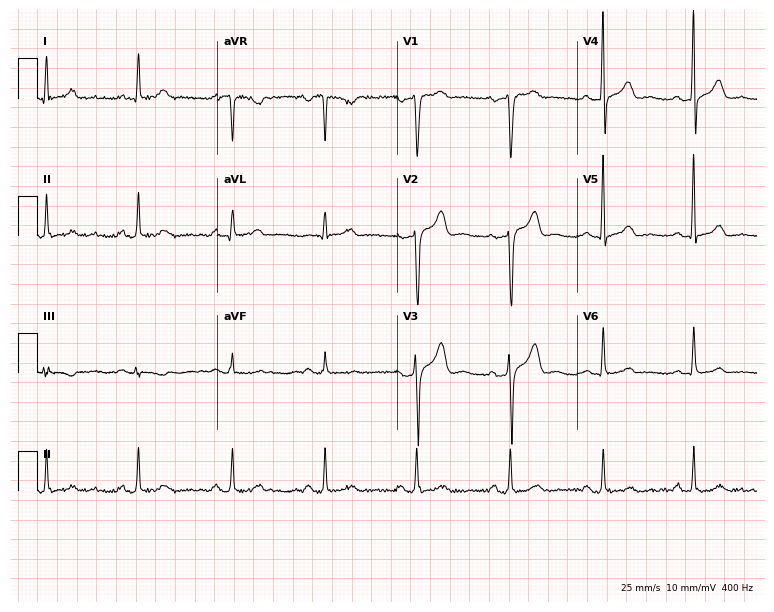
12-lead ECG (7.3-second recording at 400 Hz) from a male, 43 years old. Labelled as a normal ECG.